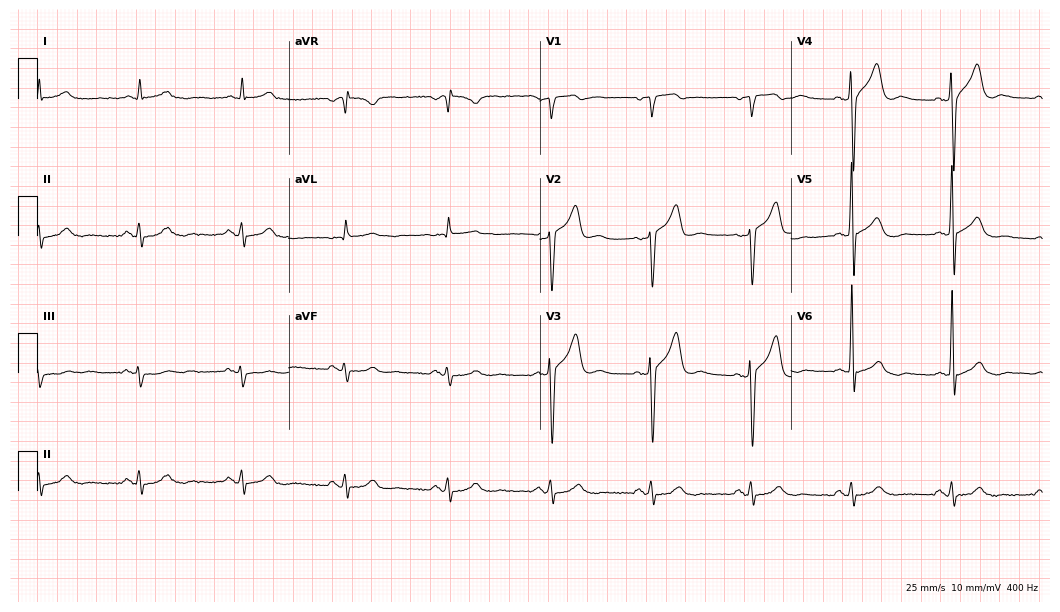
Standard 12-lead ECG recorded from a man, 68 years old. Read as a normal ECG.